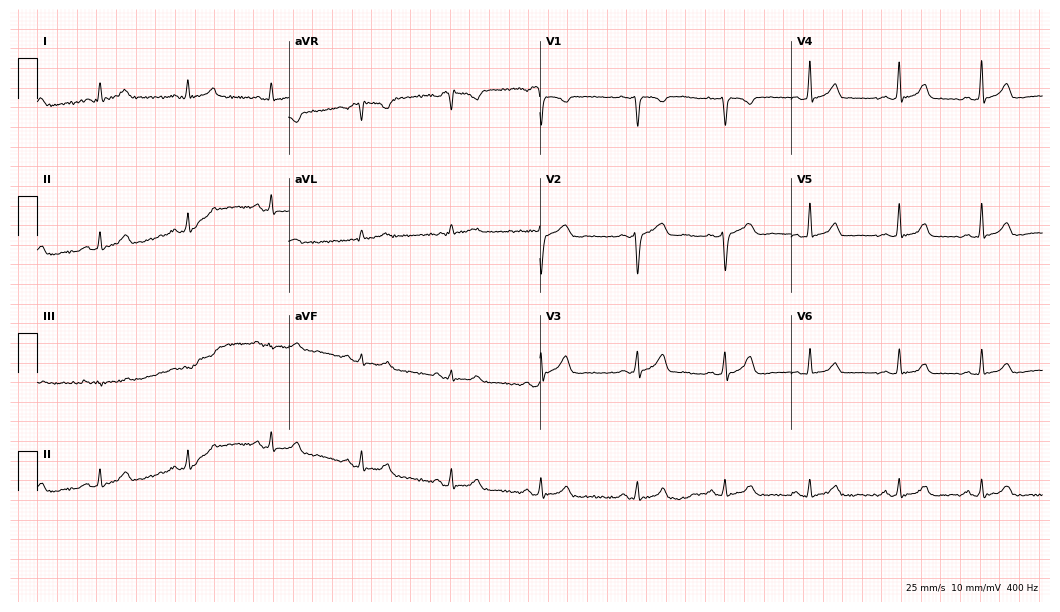
Resting 12-lead electrocardiogram. Patient: a woman, 32 years old. Read as a normal ECG.